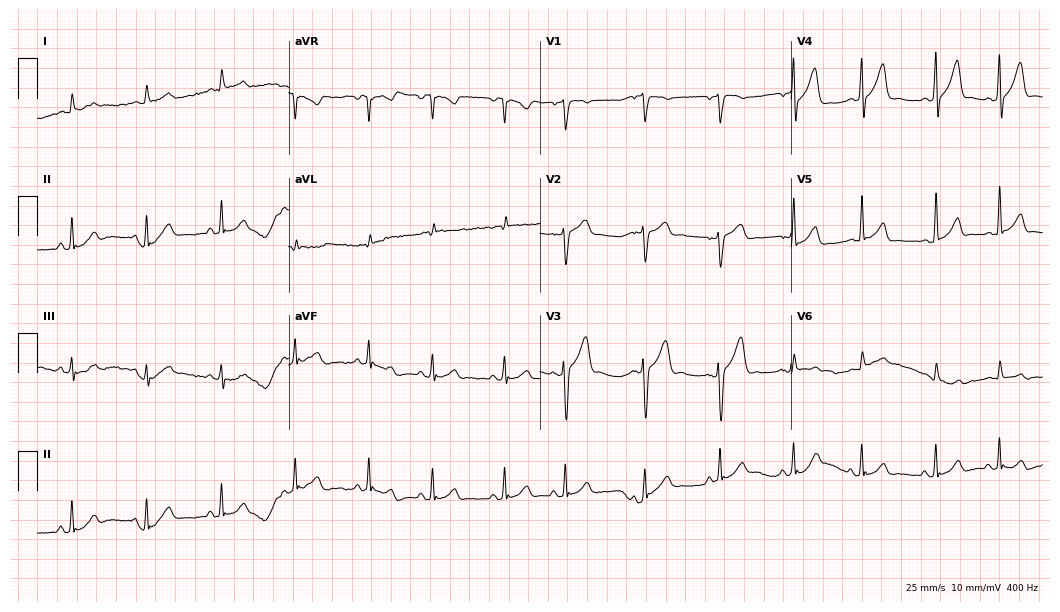
12-lead ECG from a 70-year-old male patient. No first-degree AV block, right bundle branch block (RBBB), left bundle branch block (LBBB), sinus bradycardia, atrial fibrillation (AF) or sinus tachycardia recorded for this tracing. Findings outside these six are not listed.